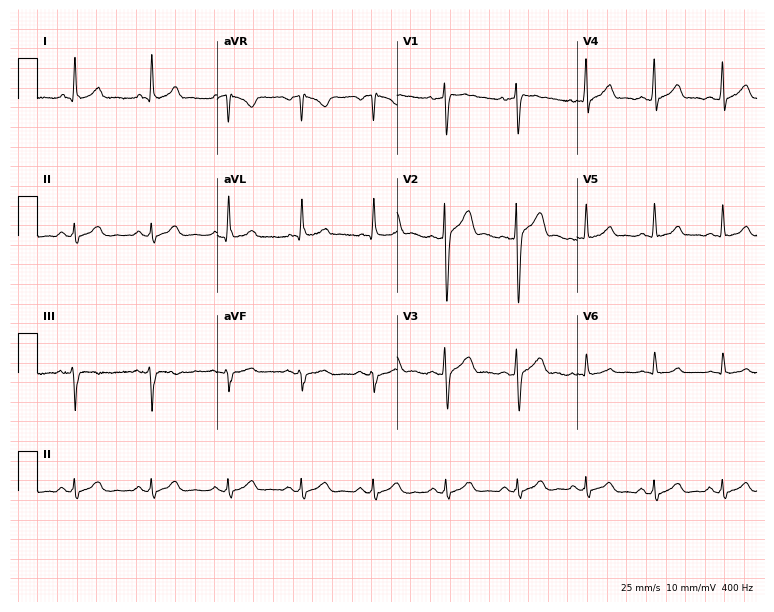
12-lead ECG from a 29-year-old male (7.3-second recording at 400 Hz). Recorded interpretation: within normal limits.